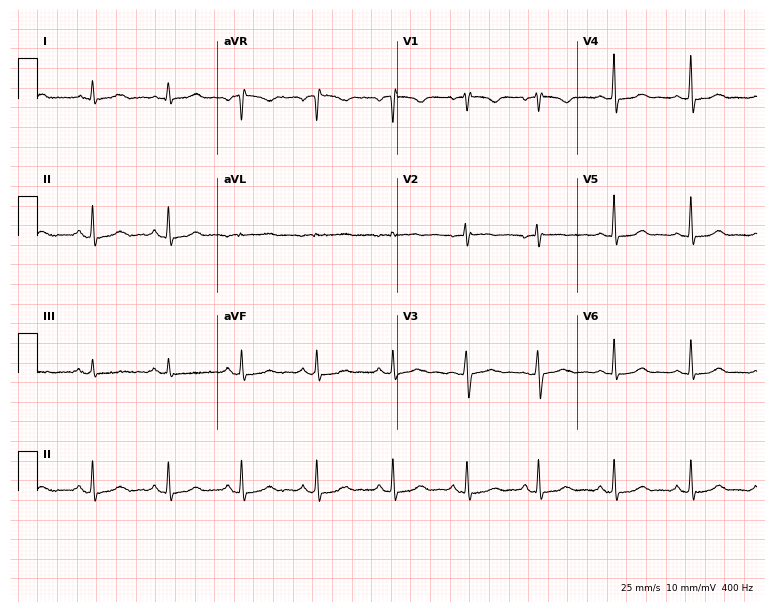
ECG — a woman, 37 years old. Screened for six findings — first-degree AV block, right bundle branch block (RBBB), left bundle branch block (LBBB), sinus bradycardia, atrial fibrillation (AF), sinus tachycardia — none is recorded. Findings outside these six are not listed.